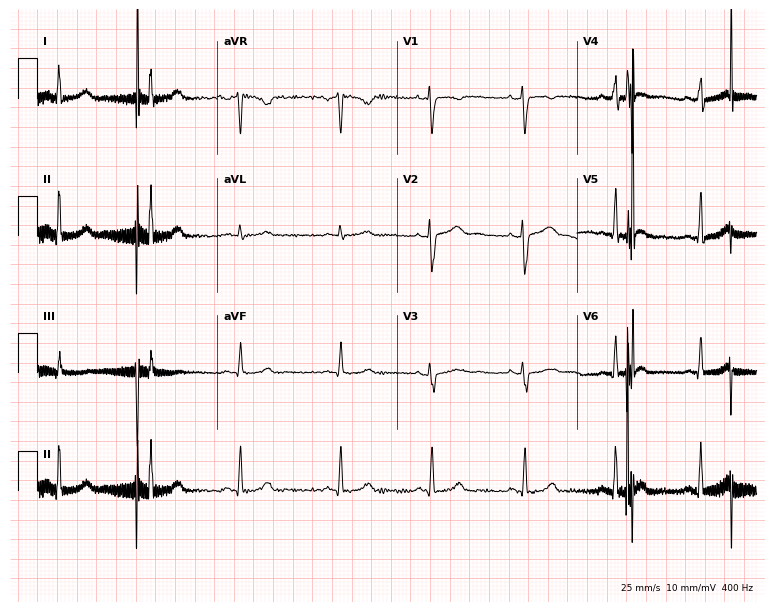
Electrocardiogram, a 35-year-old female patient. Overall reading on record: normal ECG.